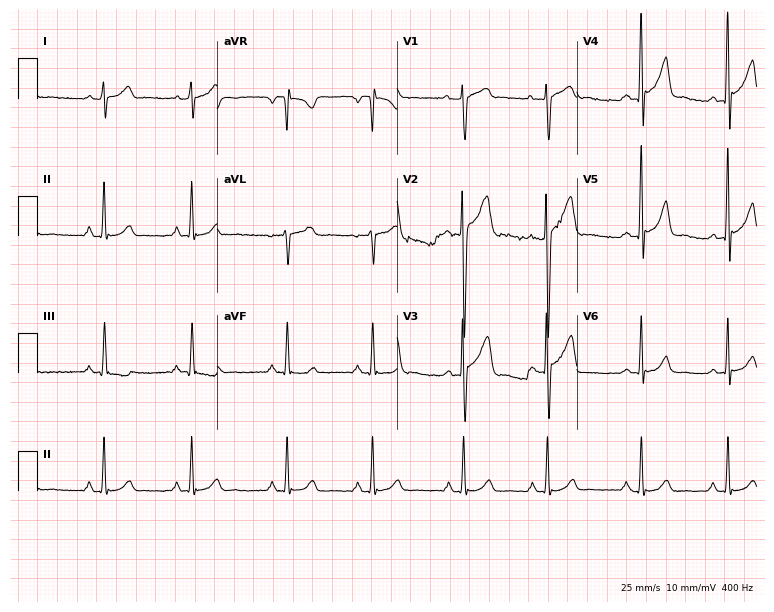
12-lead ECG from a 23-year-old male patient. Recorded interpretation: within normal limits.